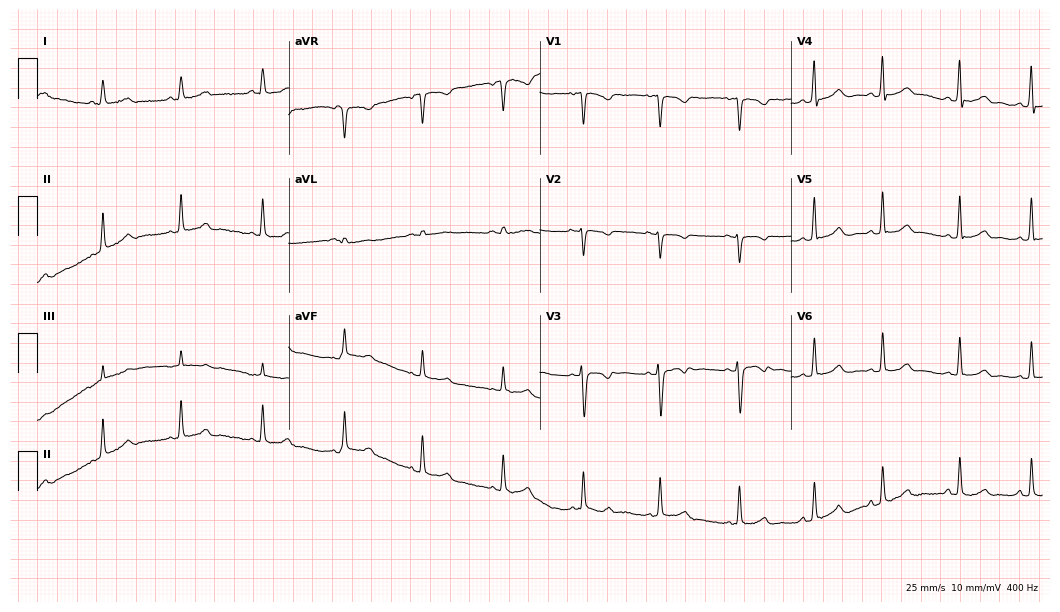
ECG (10.2-second recording at 400 Hz) — a woman, 25 years old. Screened for six findings — first-degree AV block, right bundle branch block (RBBB), left bundle branch block (LBBB), sinus bradycardia, atrial fibrillation (AF), sinus tachycardia — none is recorded.